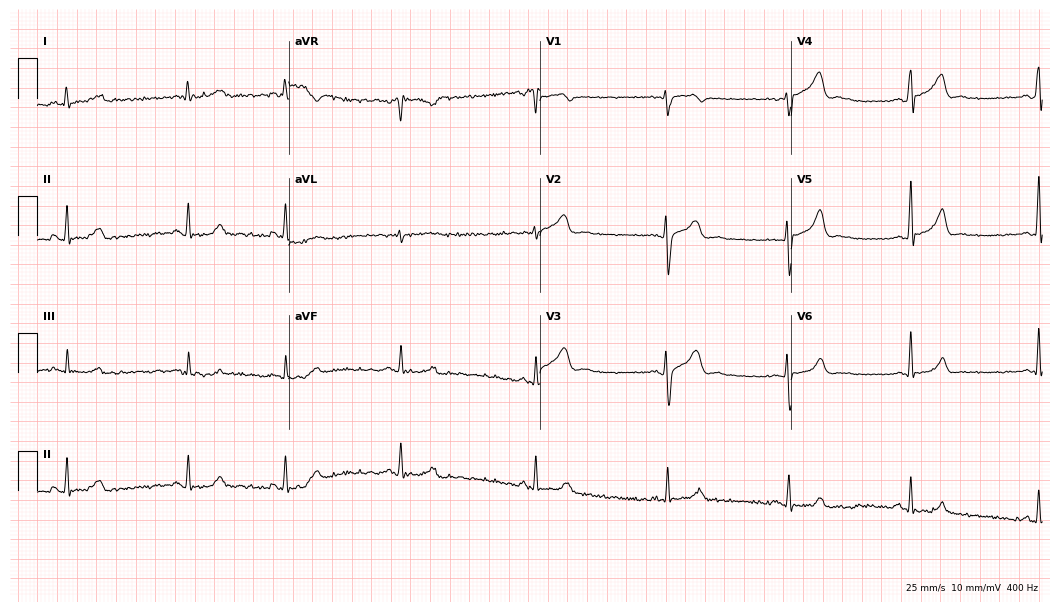
ECG (10.2-second recording at 400 Hz) — a 33-year-old male. Findings include sinus bradycardia (a sinus rate of 50 beats per minute or less).